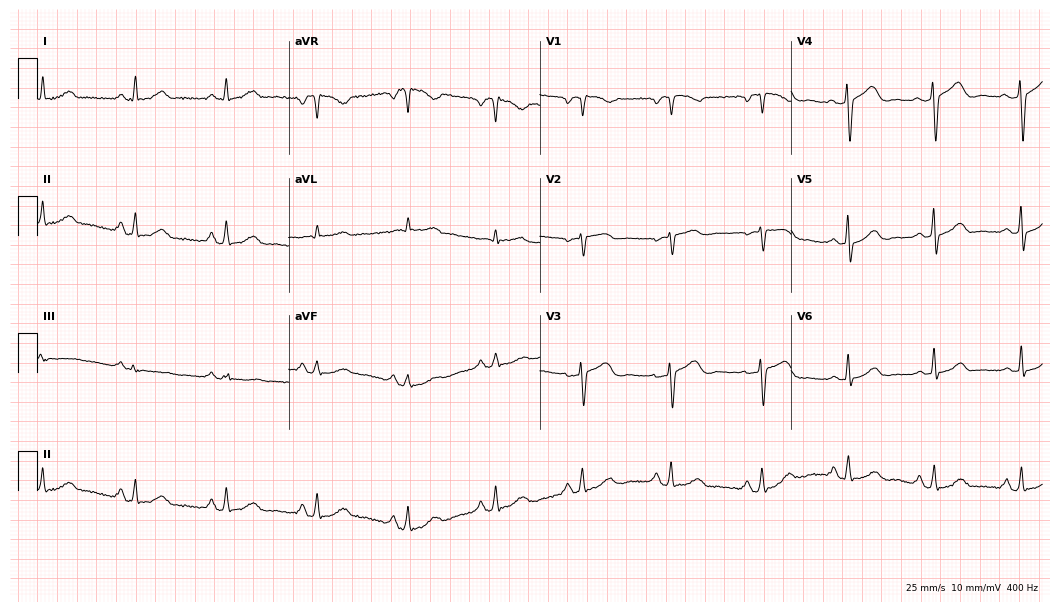
Standard 12-lead ECG recorded from a female patient, 50 years old (10.2-second recording at 400 Hz). None of these six findings is recorded: first-degree AV block, right bundle branch block (RBBB), left bundle branch block (LBBB), sinus bradycardia, atrial fibrillation (AF), sinus tachycardia. Other findings, if any, are not listed.